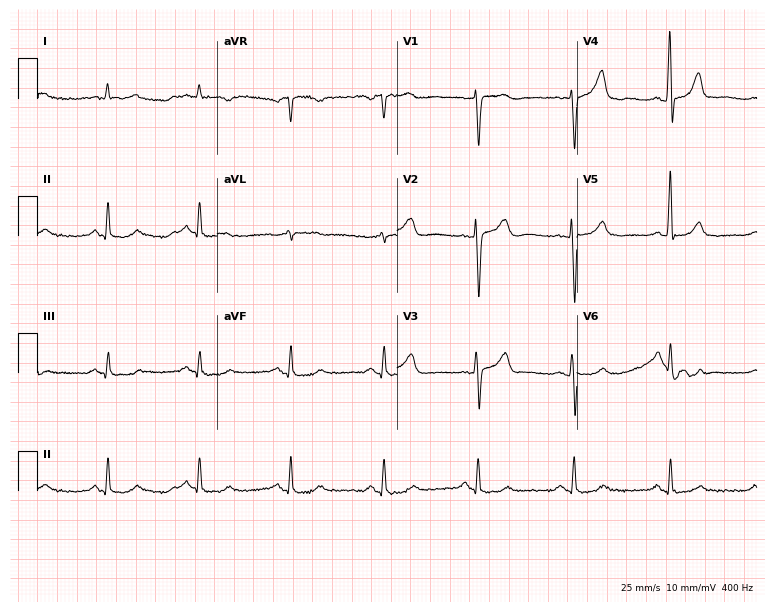
12-lead ECG from a 72-year-old man (7.3-second recording at 400 Hz). Recorded interpretation: within normal limits.